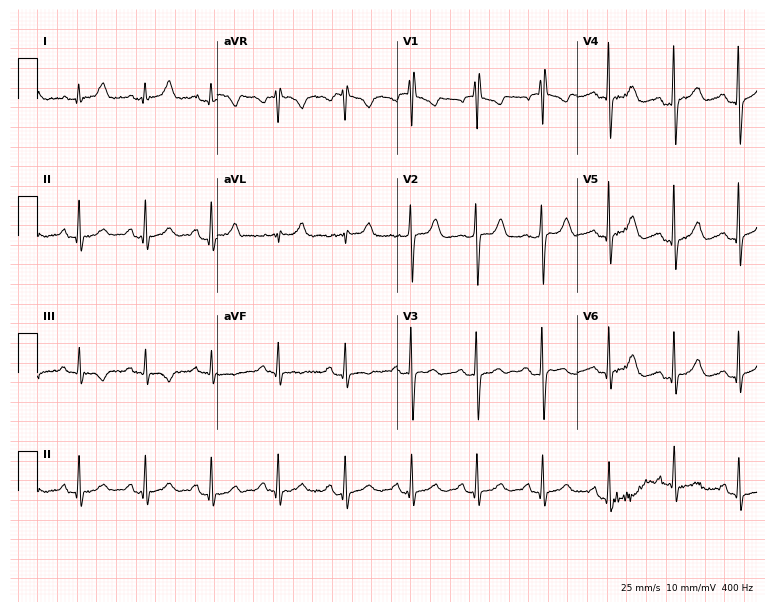
12-lead ECG (7.3-second recording at 400 Hz) from a 63-year-old female. Labelled as a normal ECG.